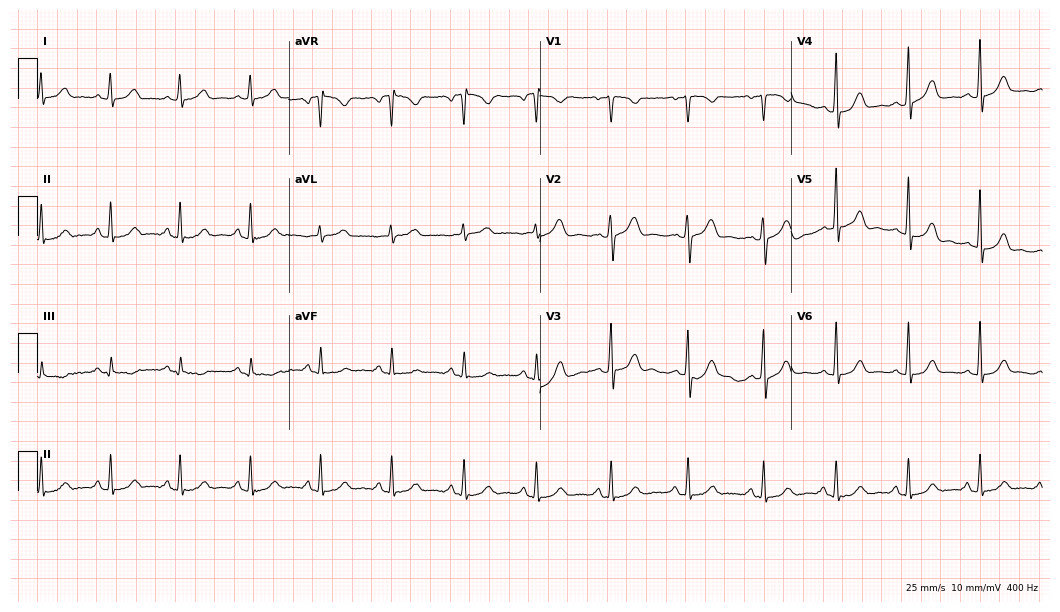
12-lead ECG from a woman, 34 years old. Labelled as a normal ECG.